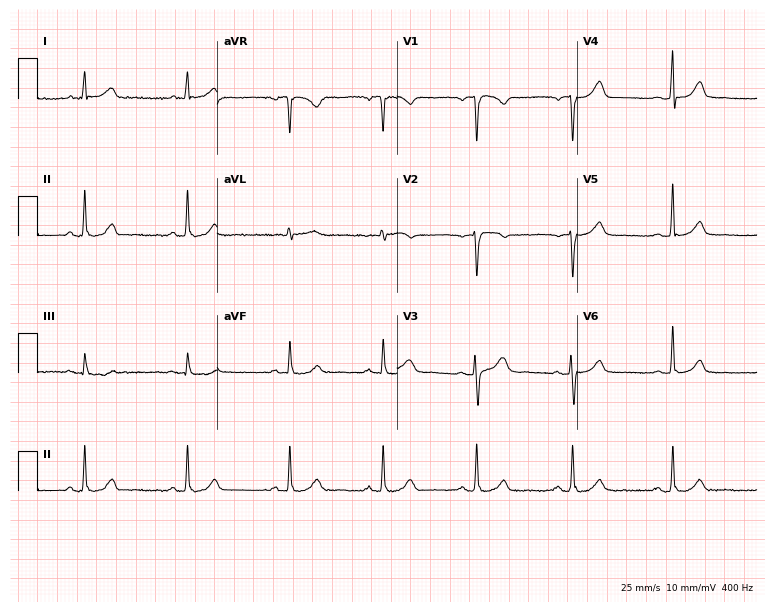
12-lead ECG (7.3-second recording at 400 Hz) from a female patient, 49 years old. Labelled as a normal ECG.